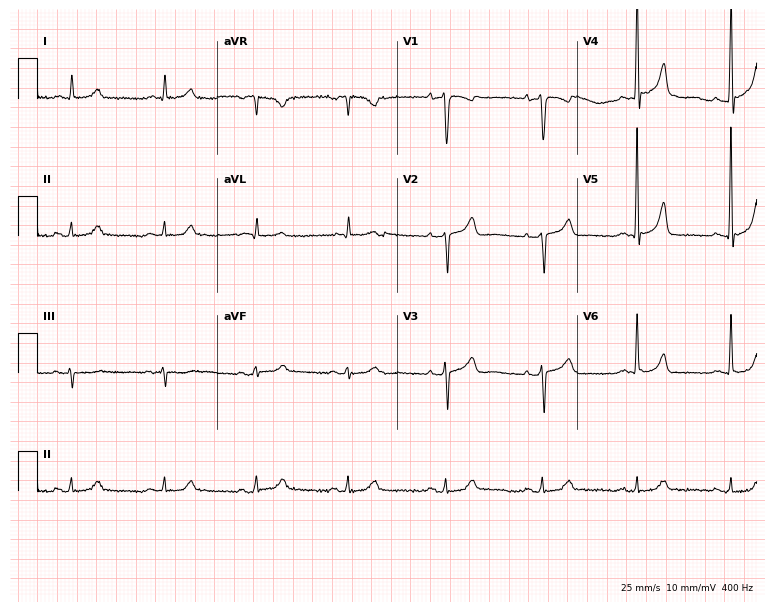
12-lead ECG from a 73-year-old man. Labelled as a normal ECG.